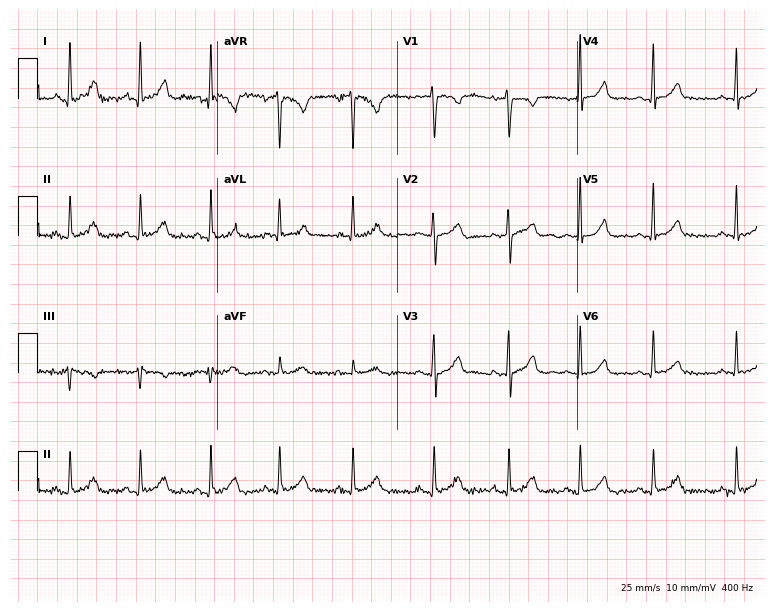
12-lead ECG (7.3-second recording at 400 Hz) from a female, 29 years old. Labelled as a normal ECG.